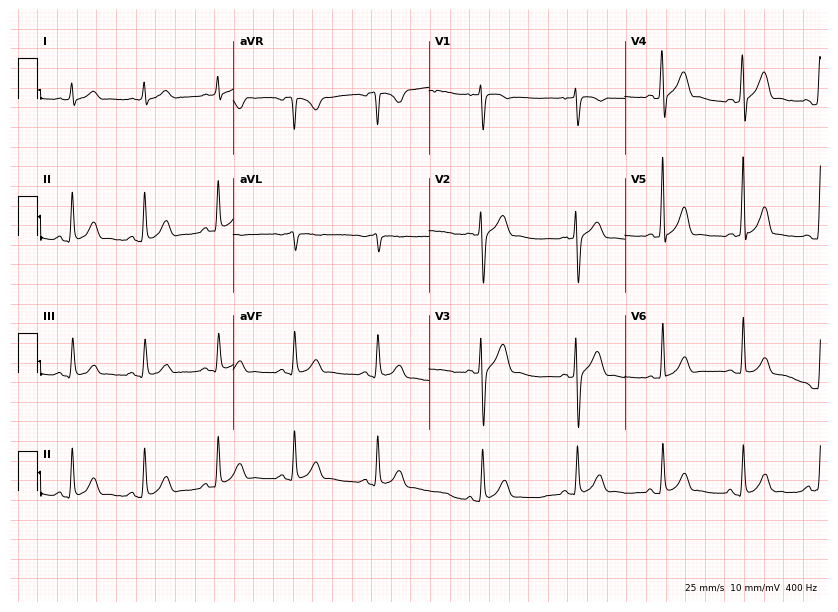
Electrocardiogram, a 25-year-old female. Overall reading on record: normal ECG.